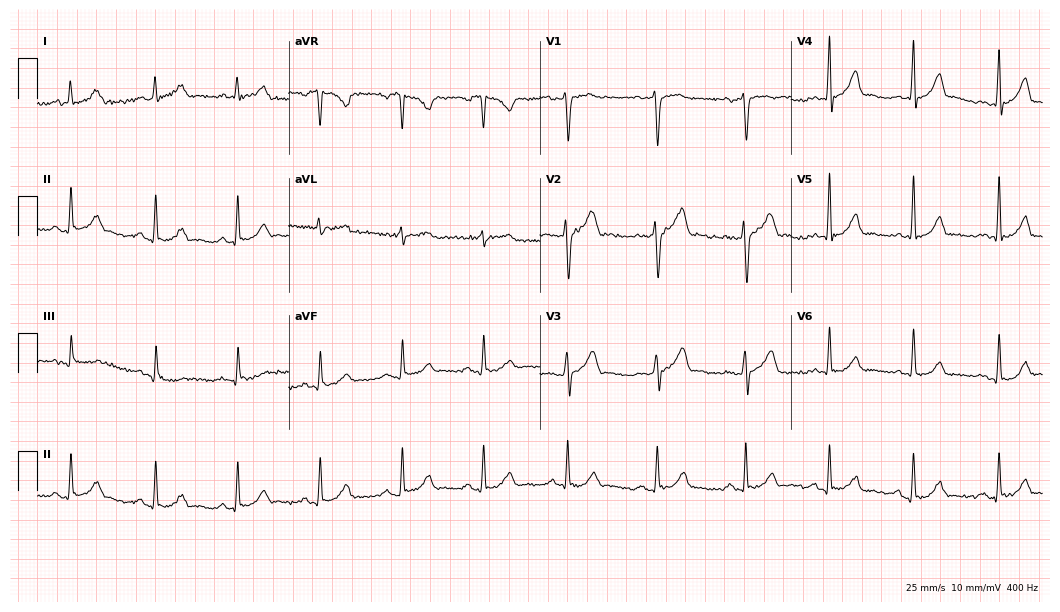
Electrocardiogram, a male patient, 36 years old. Overall reading on record: normal ECG.